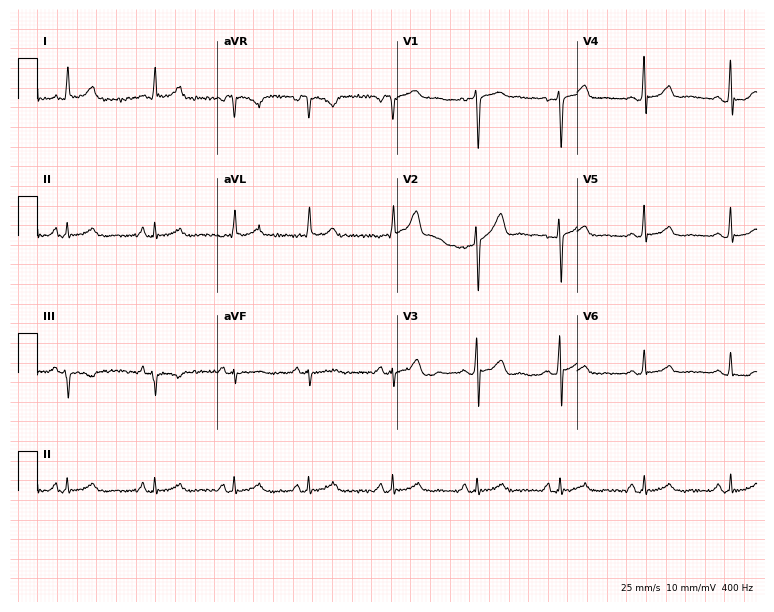
Standard 12-lead ECG recorded from a male, 40 years old. Read as a normal ECG.